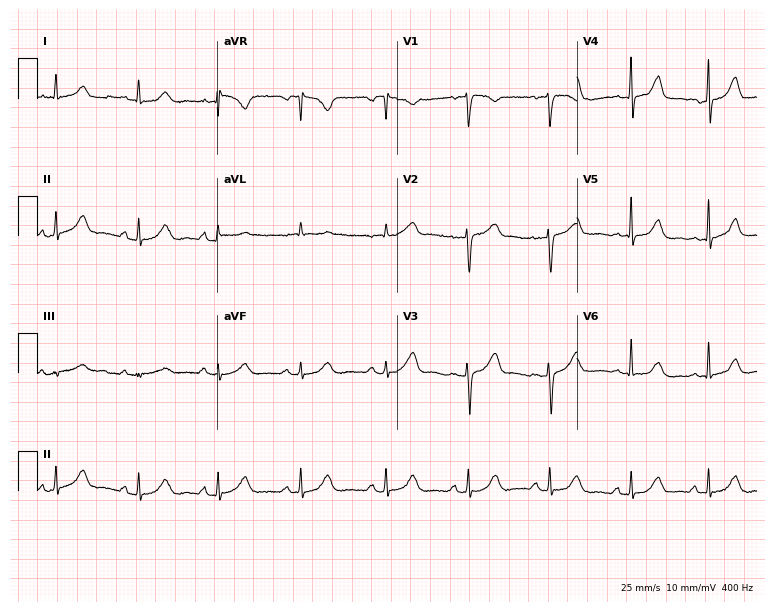
12-lead ECG from a woman, 46 years old. Recorded interpretation: within normal limits.